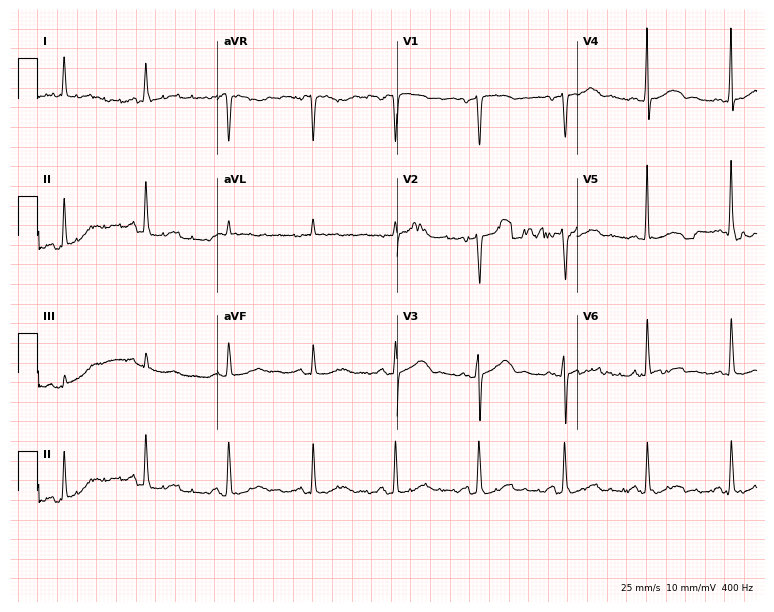
ECG — a 71-year-old female. Screened for six findings — first-degree AV block, right bundle branch block (RBBB), left bundle branch block (LBBB), sinus bradycardia, atrial fibrillation (AF), sinus tachycardia — none is recorded. Findings outside these six are not listed.